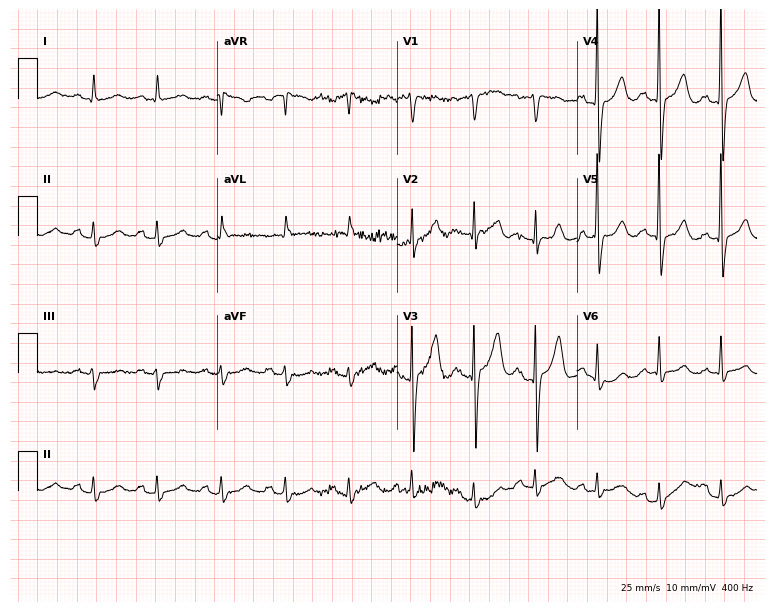
Electrocardiogram (7.3-second recording at 400 Hz), a female patient, 84 years old. Of the six screened findings (first-degree AV block, right bundle branch block (RBBB), left bundle branch block (LBBB), sinus bradycardia, atrial fibrillation (AF), sinus tachycardia), none is recorded. Only these six findings were labelled.